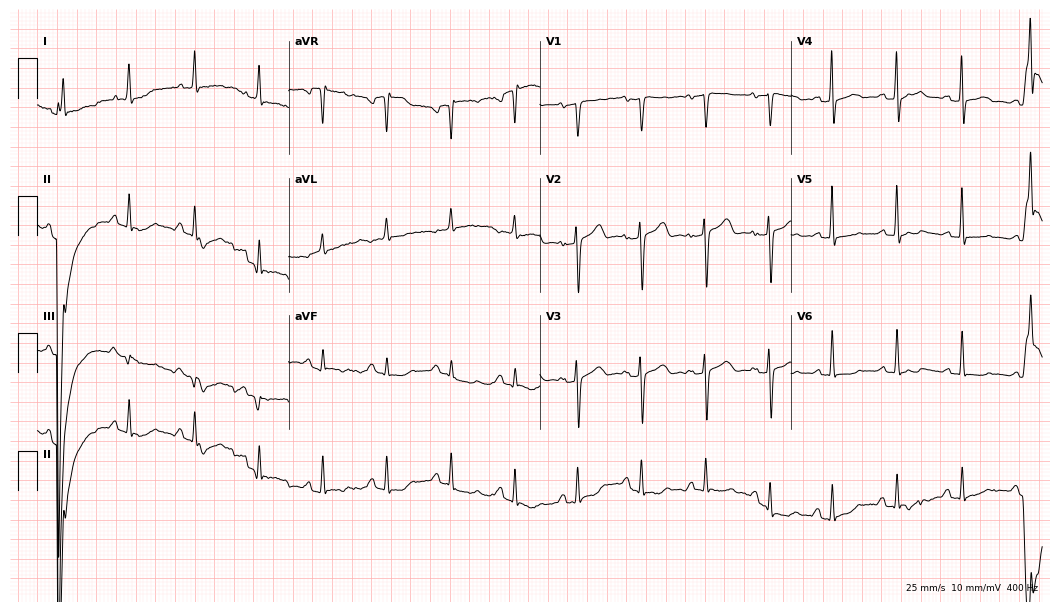
12-lead ECG from a 57-year-old woman (10.2-second recording at 400 Hz). No first-degree AV block, right bundle branch block, left bundle branch block, sinus bradycardia, atrial fibrillation or sinus tachycardia recorded for this tracing.